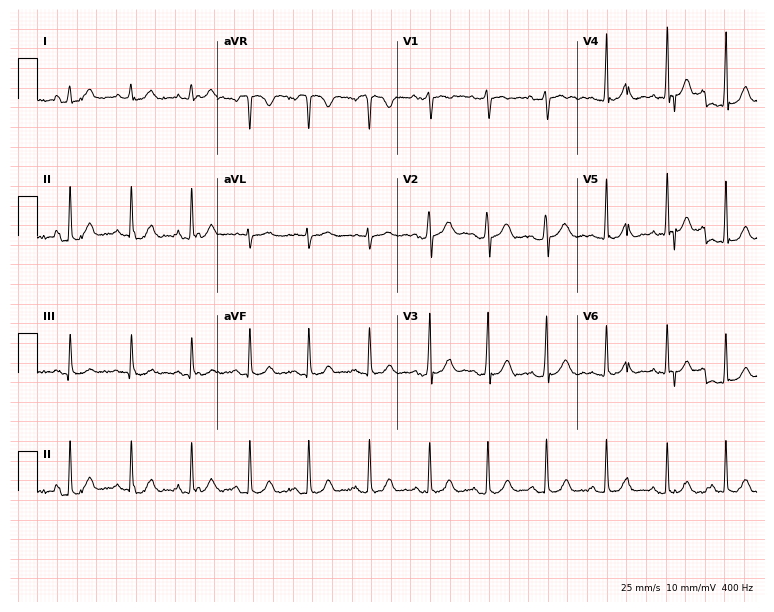
12-lead ECG from a woman, 22 years old (7.3-second recording at 400 Hz). Recorded interpretation: within normal limits.